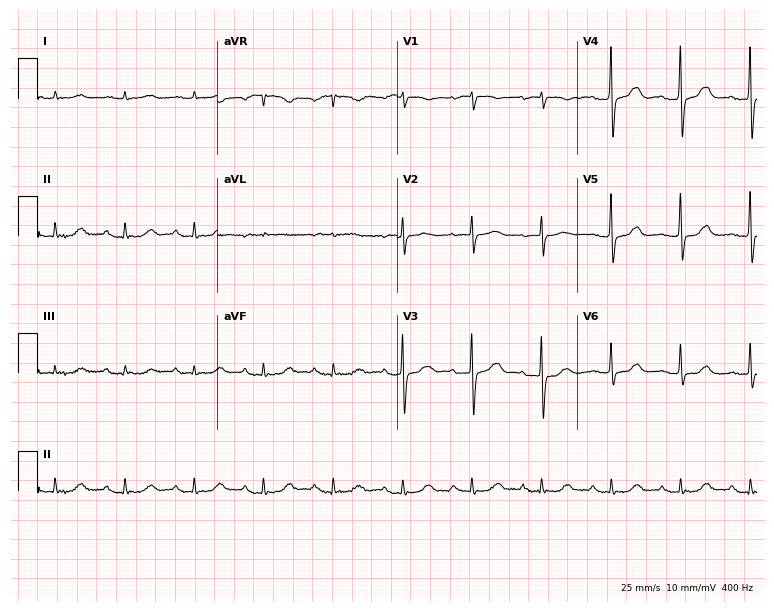
ECG (7.3-second recording at 400 Hz) — an 86-year-old male. Labelled as a normal ECG.